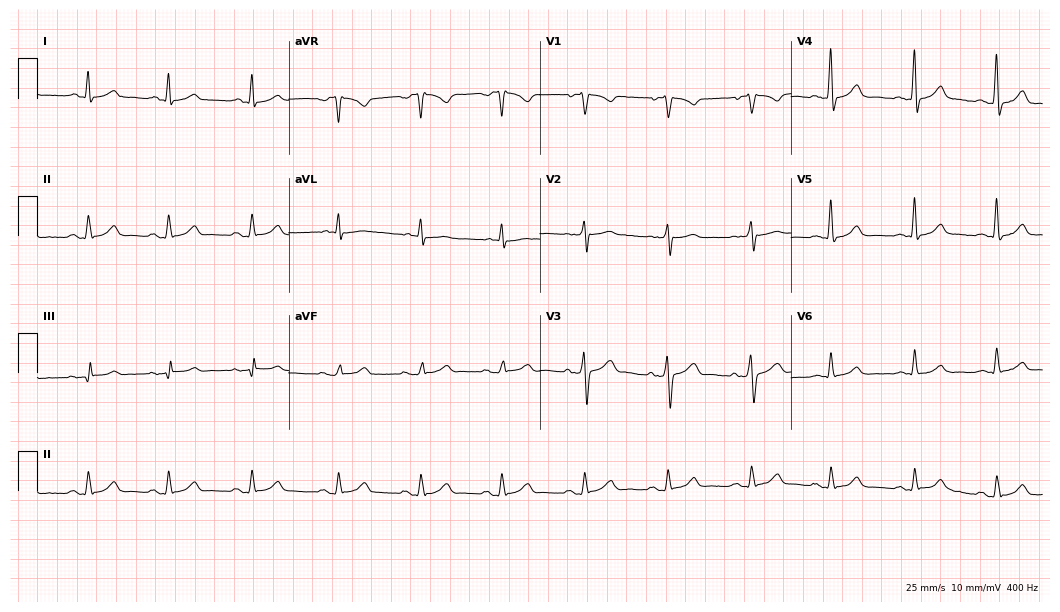
Resting 12-lead electrocardiogram (10.2-second recording at 400 Hz). Patient: a male, 45 years old. Read as a normal ECG.